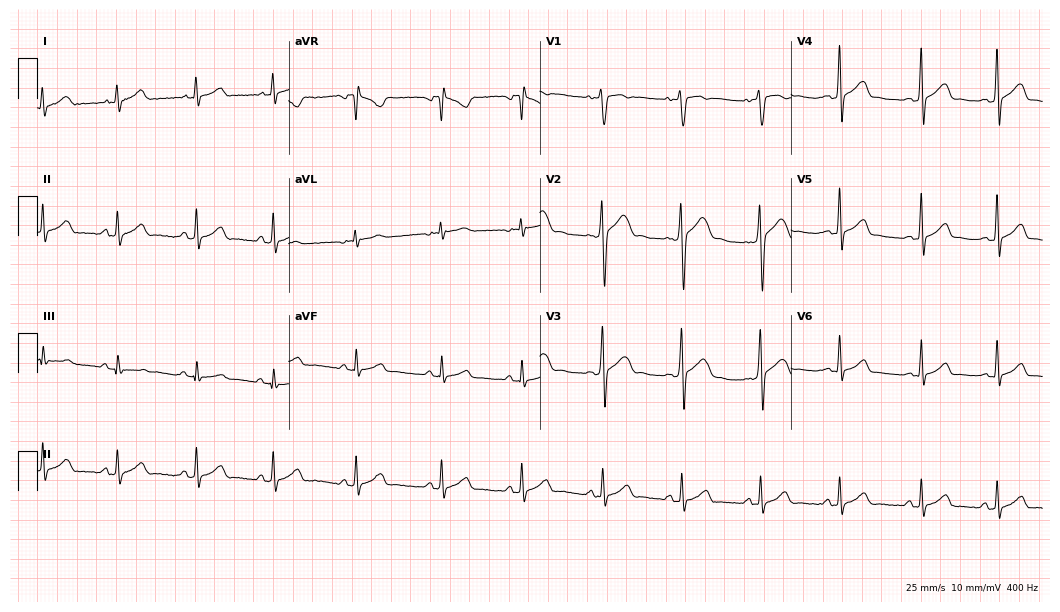
ECG — a man, 22 years old. Labelled as a normal ECG.